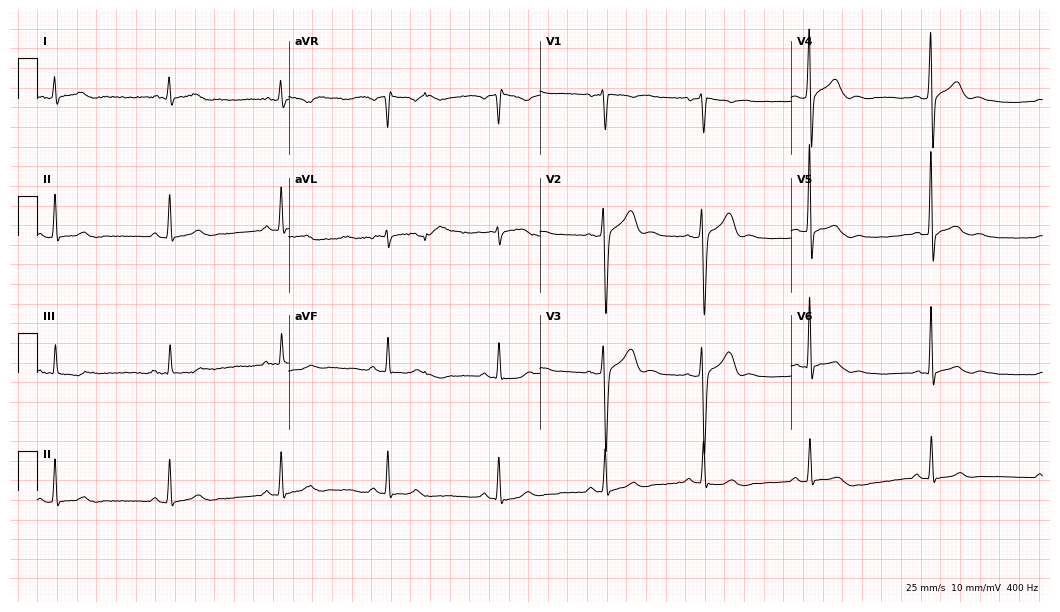
Resting 12-lead electrocardiogram. Patient: a man, 42 years old. None of these six findings is recorded: first-degree AV block, right bundle branch block (RBBB), left bundle branch block (LBBB), sinus bradycardia, atrial fibrillation (AF), sinus tachycardia. Findings outside these six are not listed.